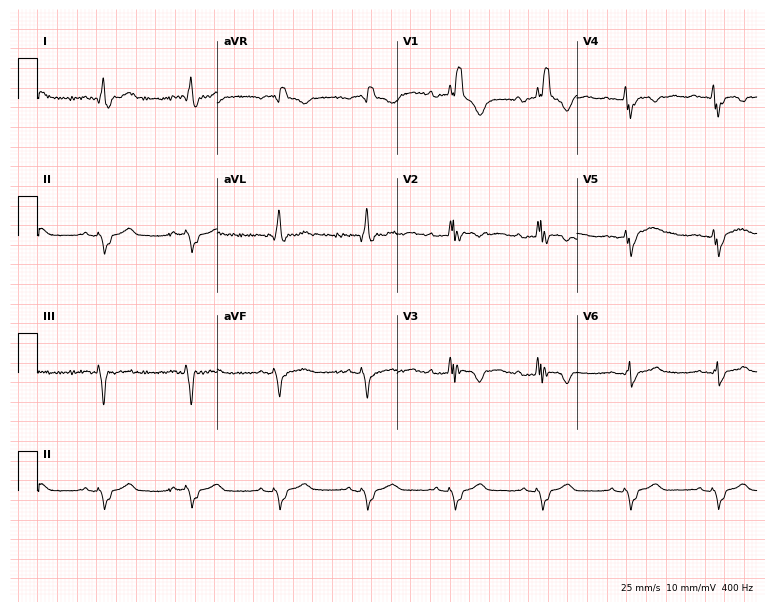
Resting 12-lead electrocardiogram. Patient: a 36-year-old male. The tracing shows right bundle branch block.